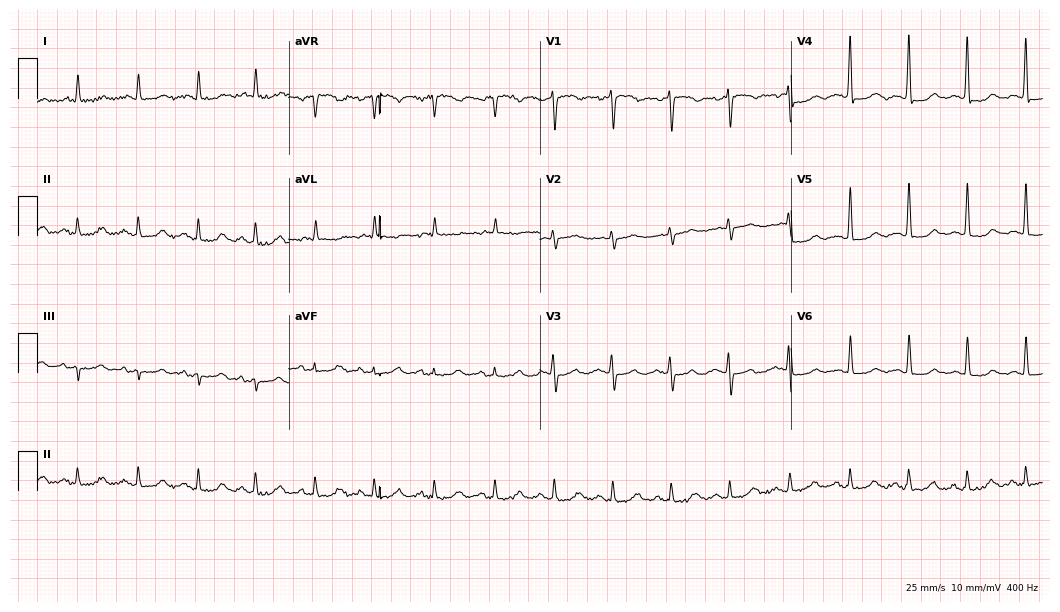
Resting 12-lead electrocardiogram. Patient: an 81-year-old female. None of these six findings is recorded: first-degree AV block, right bundle branch block (RBBB), left bundle branch block (LBBB), sinus bradycardia, atrial fibrillation (AF), sinus tachycardia. Only these six findings were labelled.